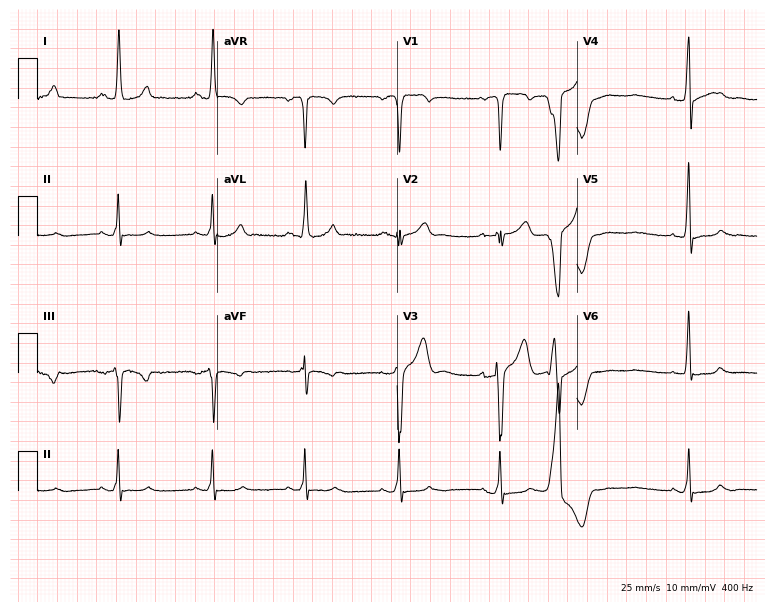
Electrocardiogram (7.3-second recording at 400 Hz), a 33-year-old male patient. Of the six screened findings (first-degree AV block, right bundle branch block, left bundle branch block, sinus bradycardia, atrial fibrillation, sinus tachycardia), none is recorded.